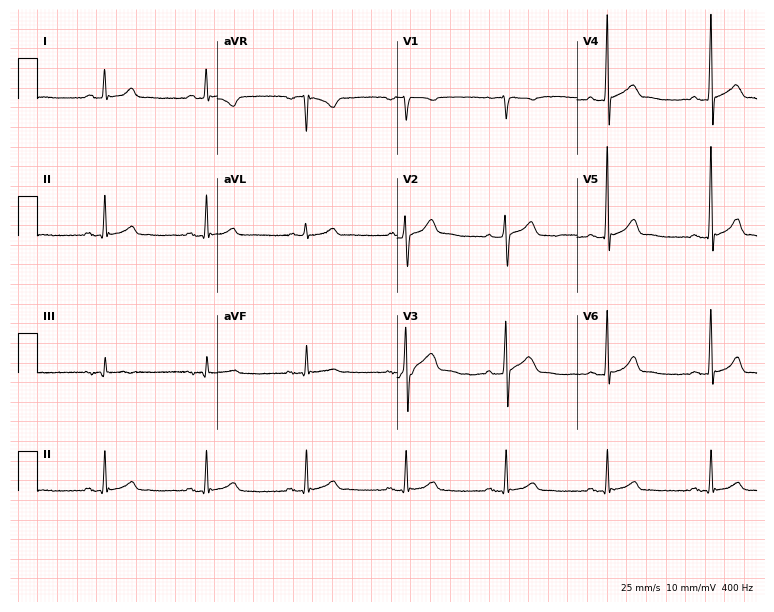
12-lead ECG from a male patient, 49 years old (7.3-second recording at 400 Hz). Recorded interpretation: within normal limits.